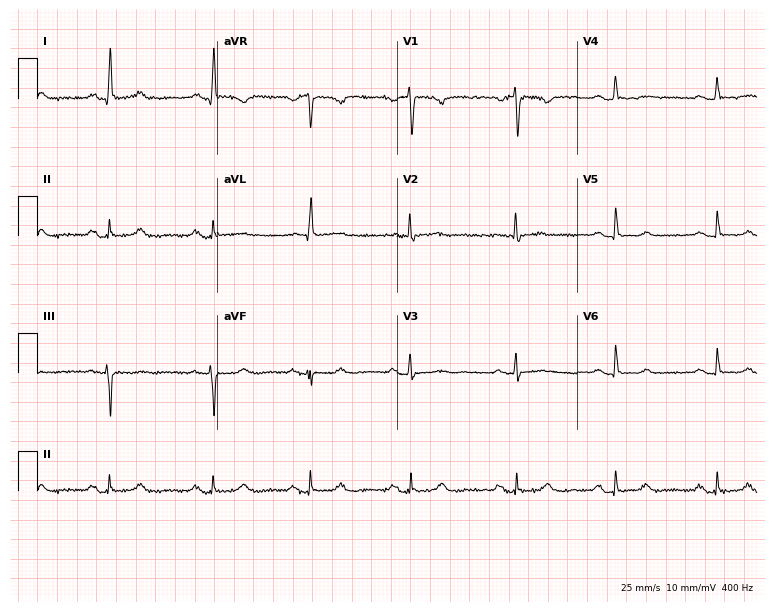
12-lead ECG from a female, 65 years old. Labelled as a normal ECG.